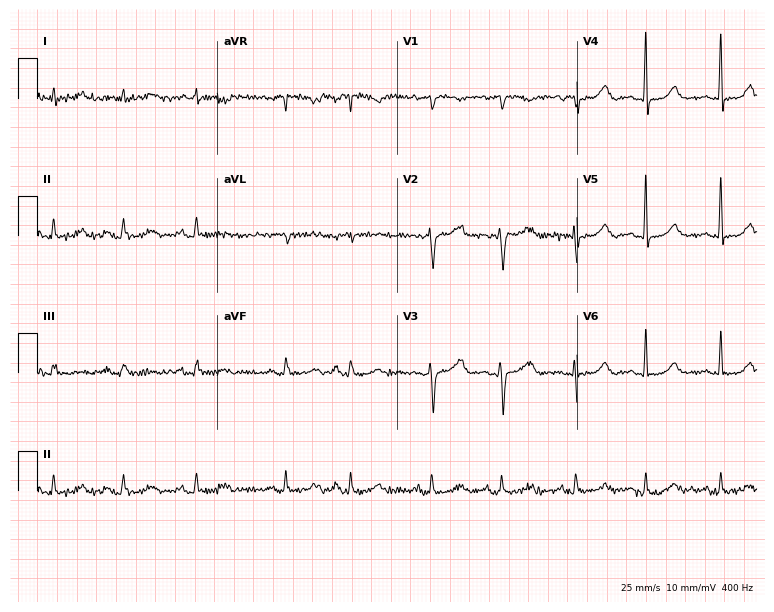
Standard 12-lead ECG recorded from a woman, 75 years old. Read as a normal ECG.